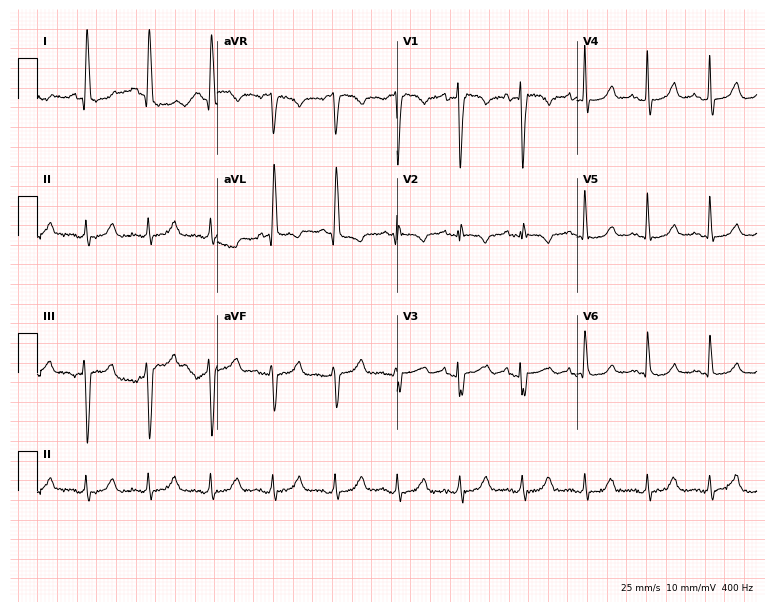
12-lead ECG from a woman, 62 years old. No first-degree AV block, right bundle branch block, left bundle branch block, sinus bradycardia, atrial fibrillation or sinus tachycardia recorded for this tracing.